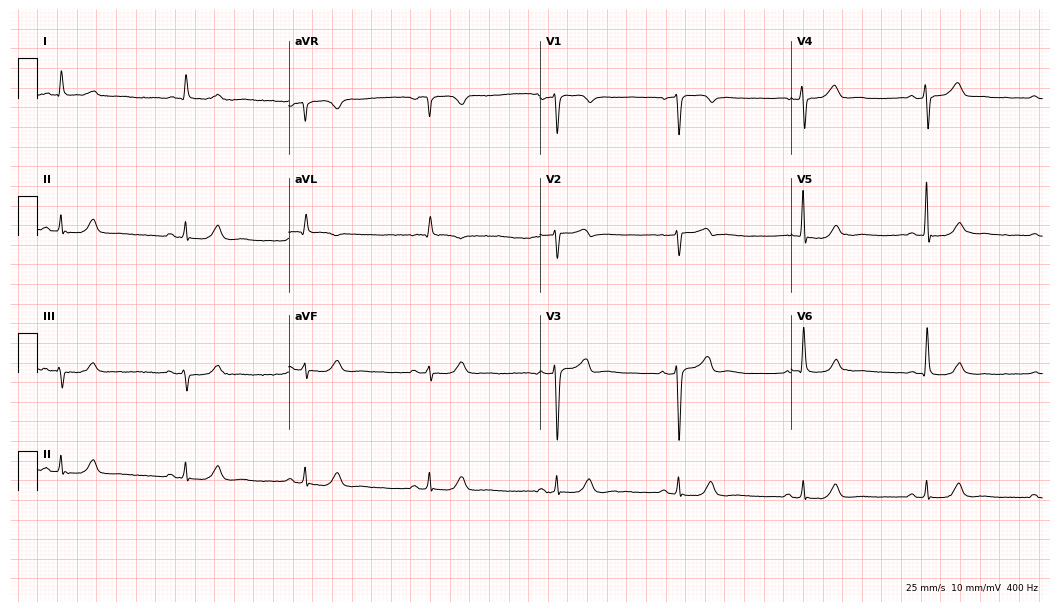
ECG (10.2-second recording at 400 Hz) — a male patient, 71 years old. Findings include sinus bradycardia (a sinus rate of 50 beats per minute or less).